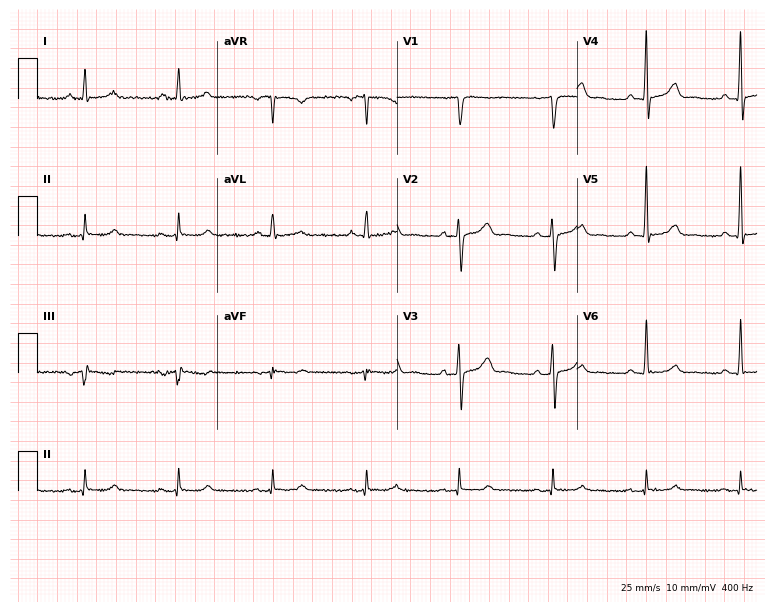
Standard 12-lead ECG recorded from a 68-year-old man. None of these six findings is recorded: first-degree AV block, right bundle branch block (RBBB), left bundle branch block (LBBB), sinus bradycardia, atrial fibrillation (AF), sinus tachycardia.